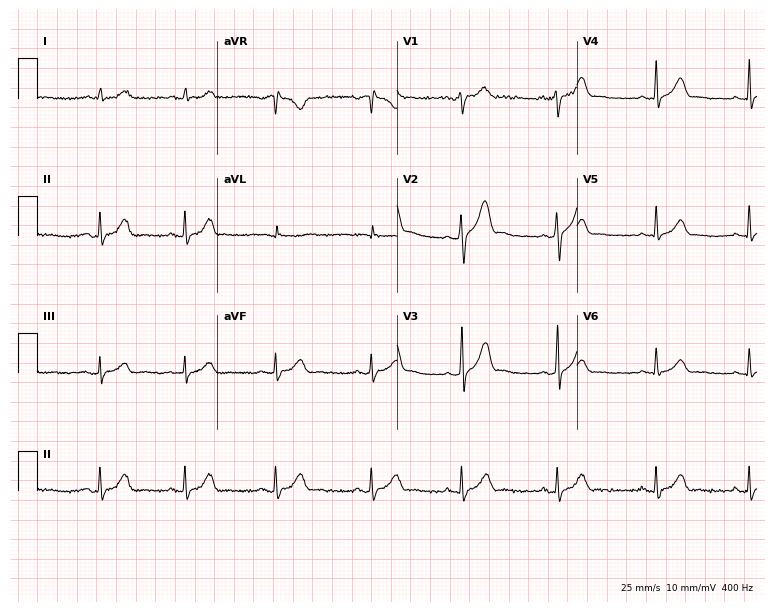
Electrocardiogram, a male, 39 years old. Overall reading on record: normal ECG.